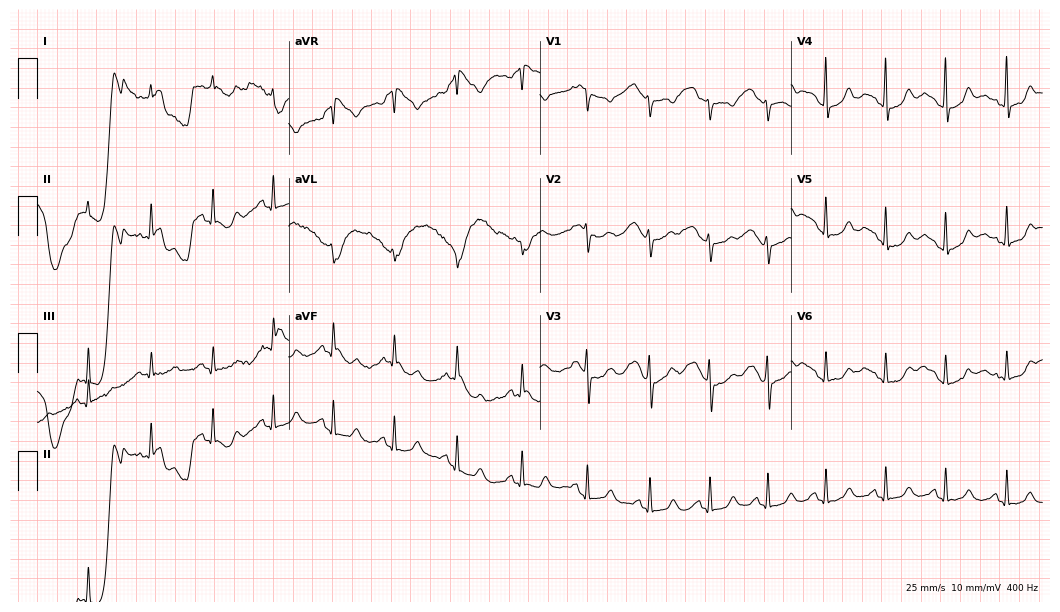
ECG — a female, 66 years old. Labelled as a normal ECG.